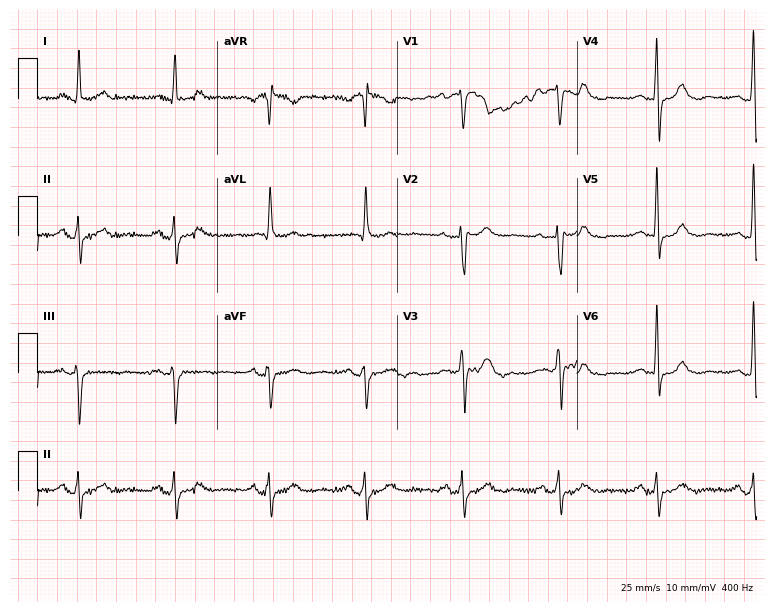
12-lead ECG from a female patient, 71 years old. No first-degree AV block, right bundle branch block, left bundle branch block, sinus bradycardia, atrial fibrillation or sinus tachycardia recorded for this tracing.